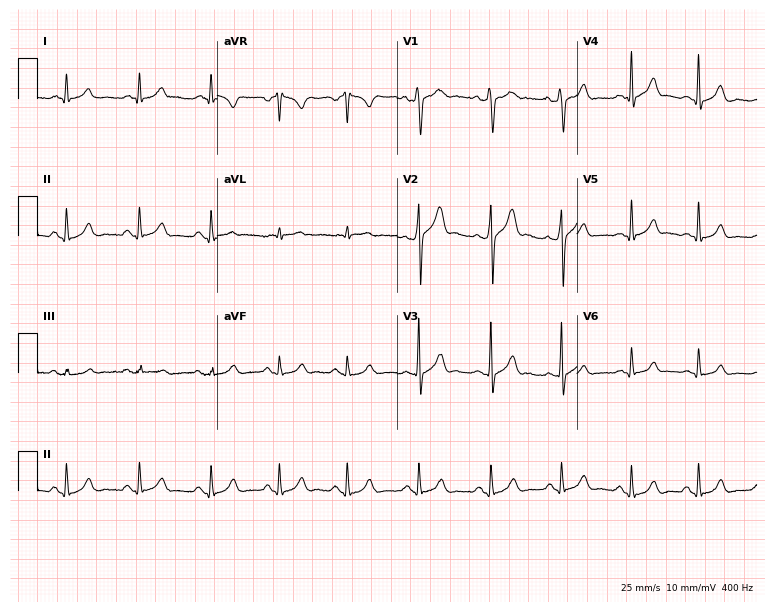
ECG (7.3-second recording at 400 Hz) — a male patient, 29 years old. Labelled as a normal ECG.